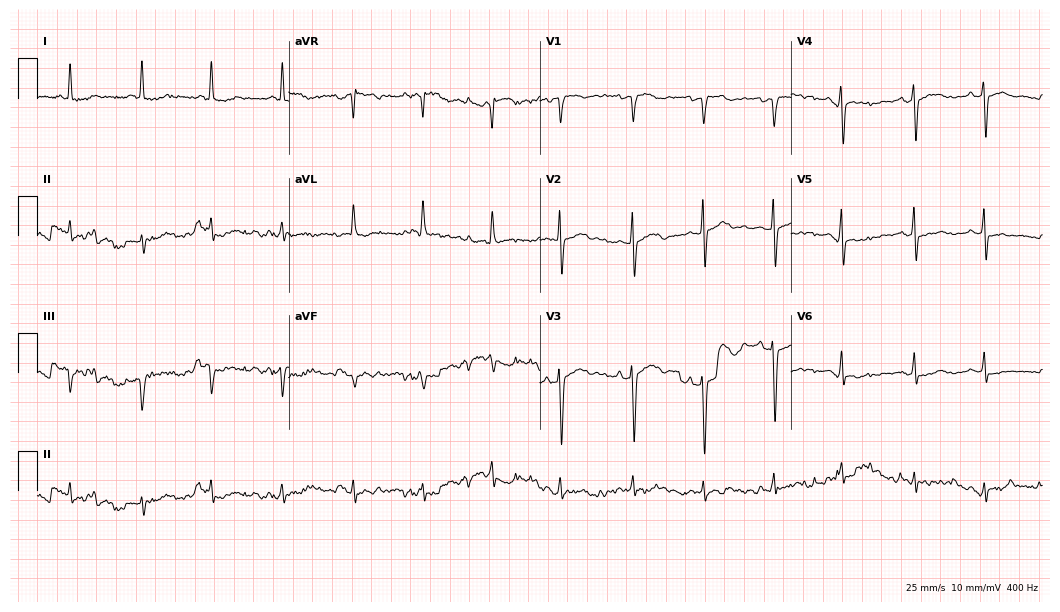
Standard 12-lead ECG recorded from a woman, 82 years old. None of these six findings is recorded: first-degree AV block, right bundle branch block (RBBB), left bundle branch block (LBBB), sinus bradycardia, atrial fibrillation (AF), sinus tachycardia. Findings outside these six are not listed.